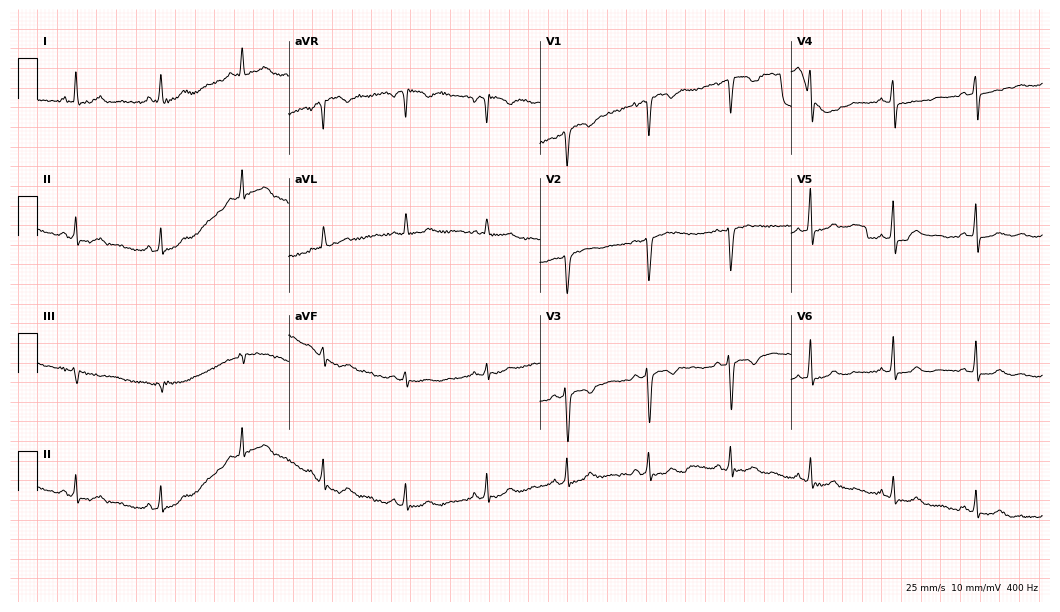
12-lead ECG from a woman, 42 years old. Labelled as a normal ECG.